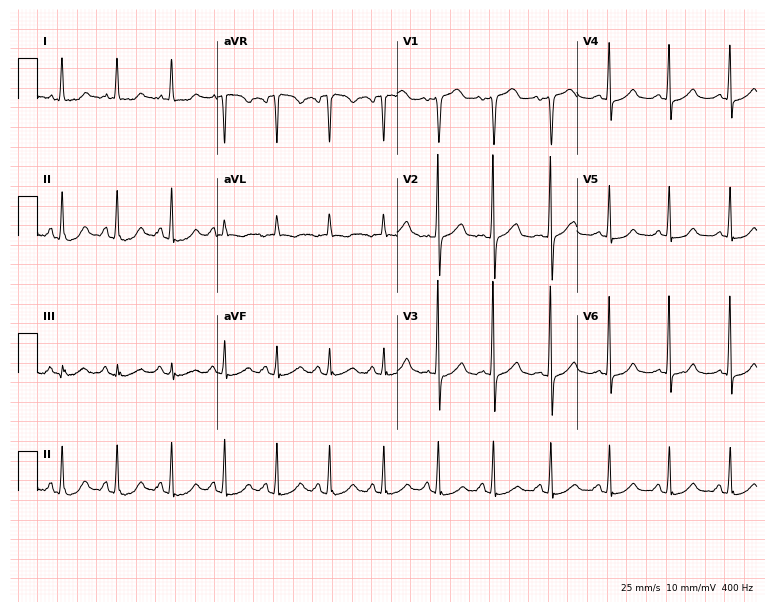
12-lead ECG from a 49-year-old woman. Recorded interpretation: within normal limits.